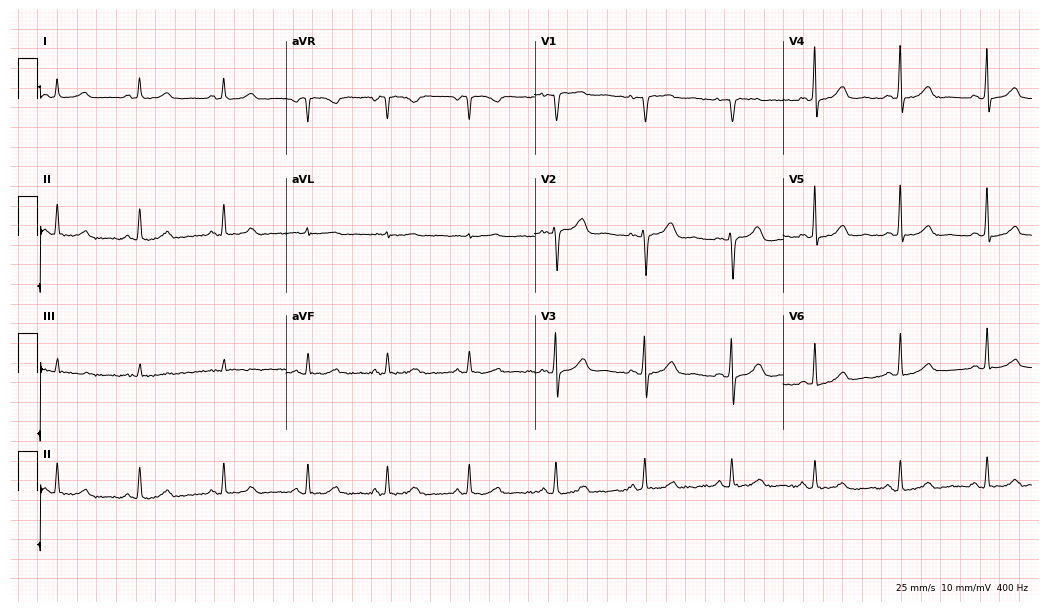
Electrocardiogram, a 50-year-old woman. Overall reading on record: normal ECG.